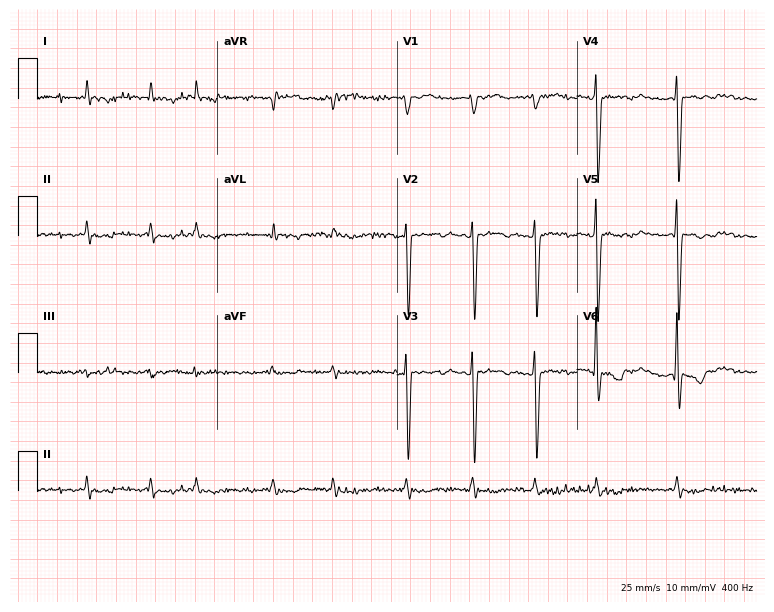
Electrocardiogram, a male patient, 82 years old. Interpretation includes atrial fibrillation (AF).